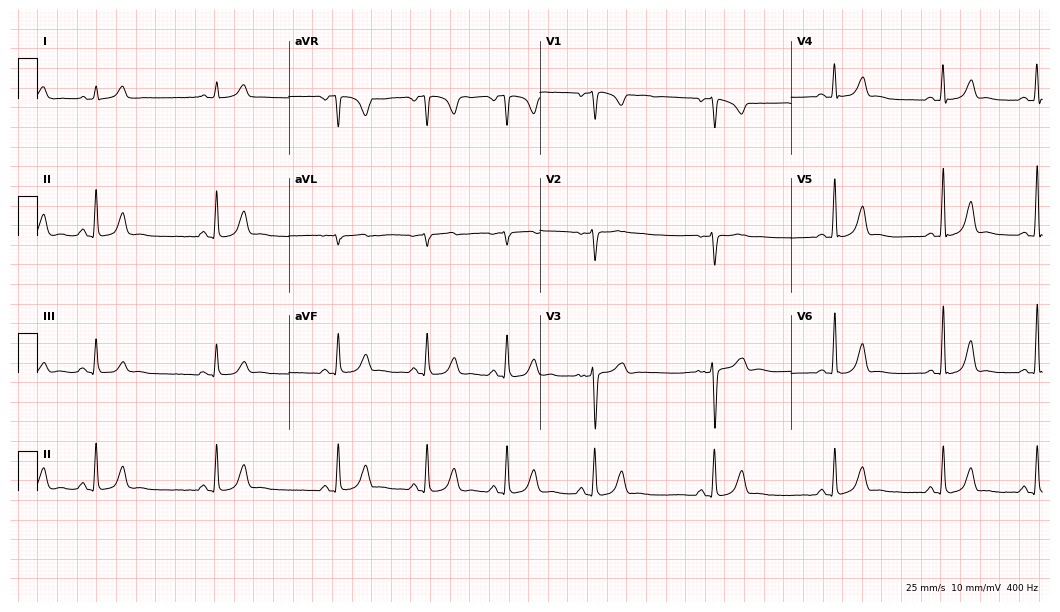
Resting 12-lead electrocardiogram. Patient: a 37-year-old female. Read as a normal ECG.